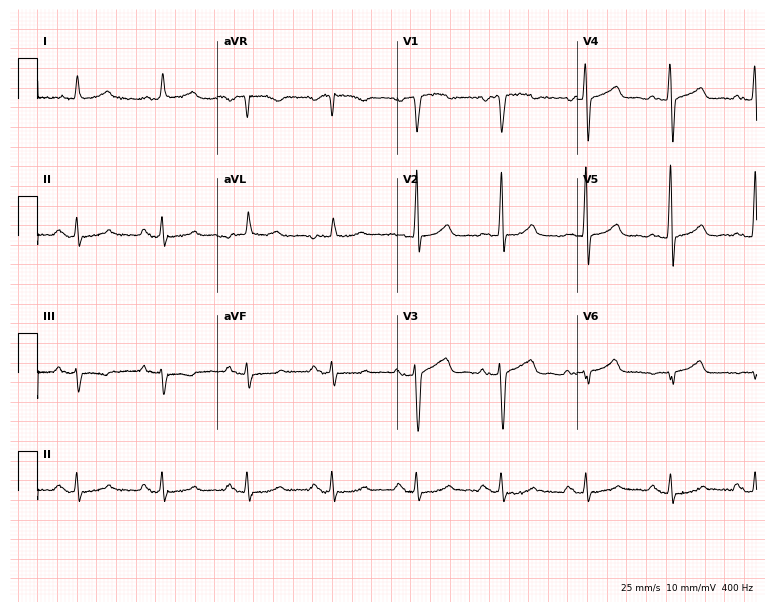
Electrocardiogram, a 66-year-old man. Overall reading on record: normal ECG.